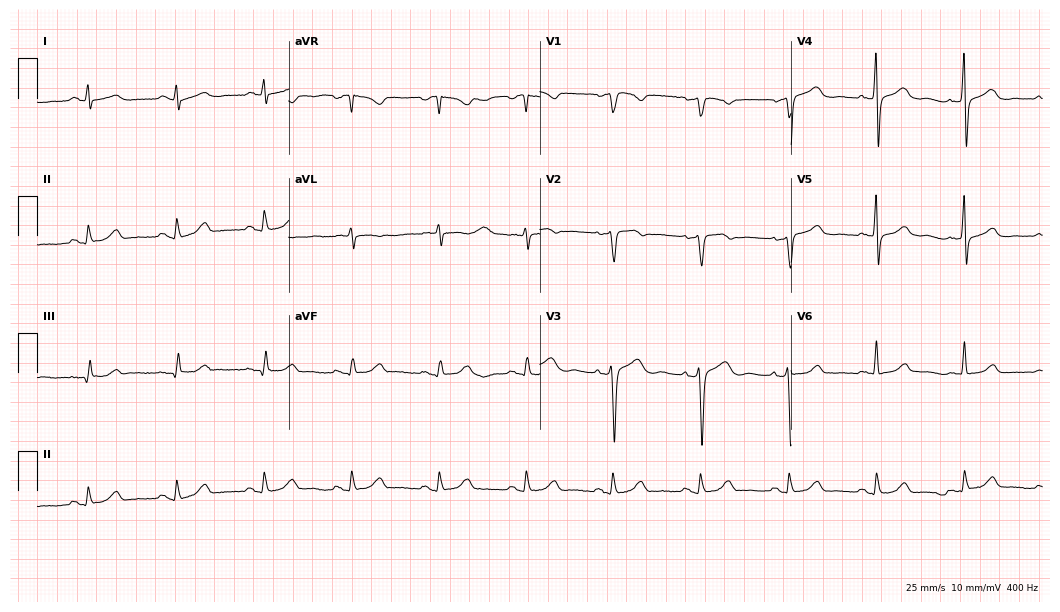
ECG — a female patient, 55 years old. Labelled as a normal ECG.